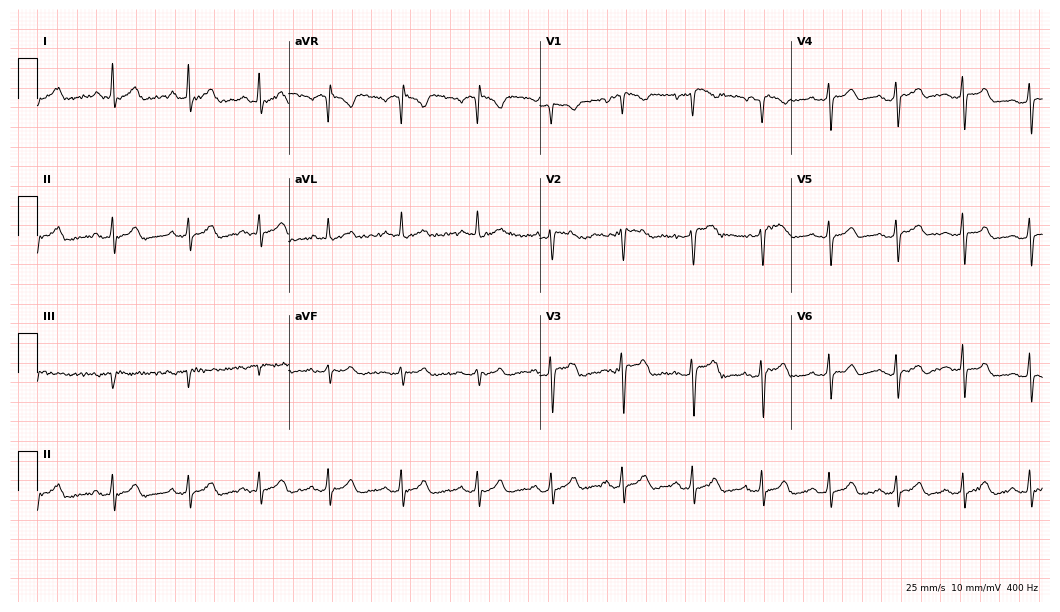
Standard 12-lead ECG recorded from a 53-year-old female patient (10.2-second recording at 400 Hz). None of these six findings is recorded: first-degree AV block, right bundle branch block, left bundle branch block, sinus bradycardia, atrial fibrillation, sinus tachycardia.